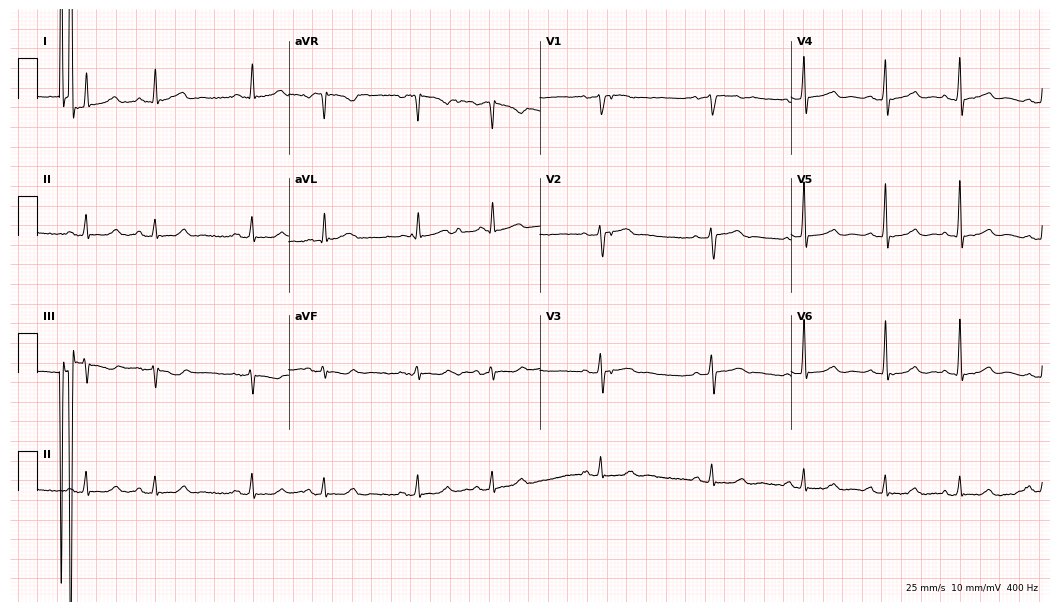
ECG (10.2-second recording at 400 Hz) — a 71-year-old female. Labelled as a normal ECG.